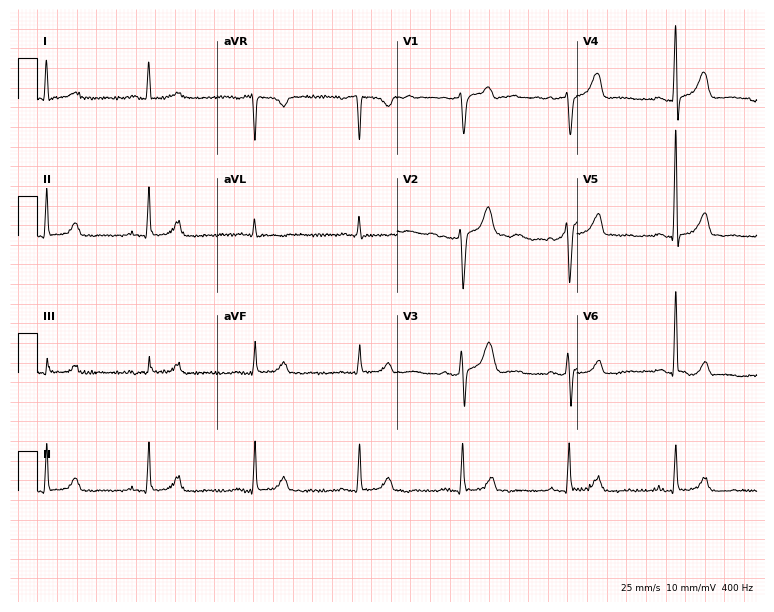
Resting 12-lead electrocardiogram. Patient: a 65-year-old male. Read as a normal ECG.